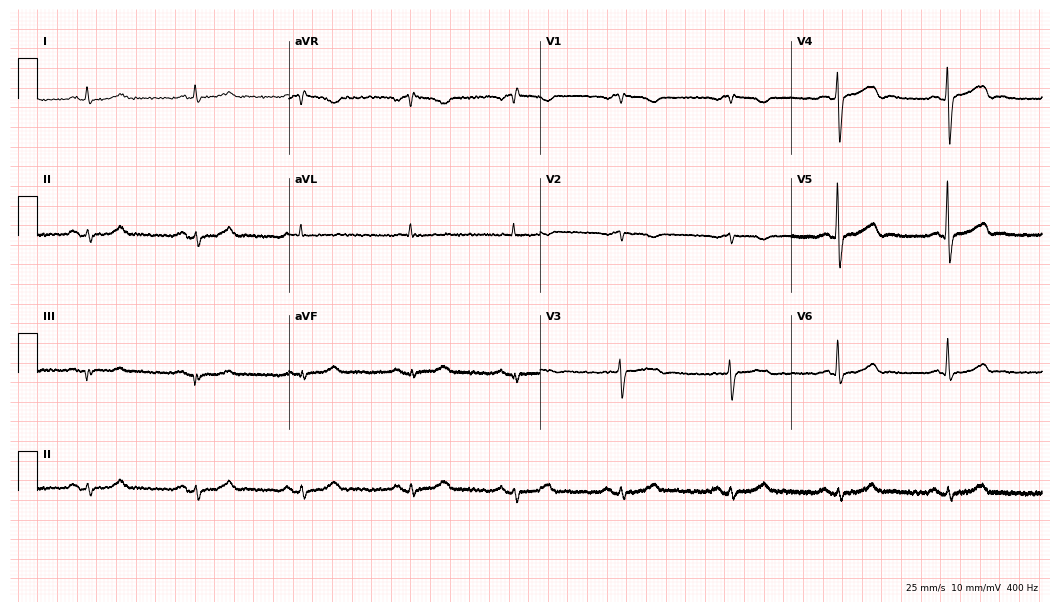
12-lead ECG from a female patient, 75 years old. No first-degree AV block, right bundle branch block, left bundle branch block, sinus bradycardia, atrial fibrillation or sinus tachycardia recorded for this tracing. Only these six findings were labelled.